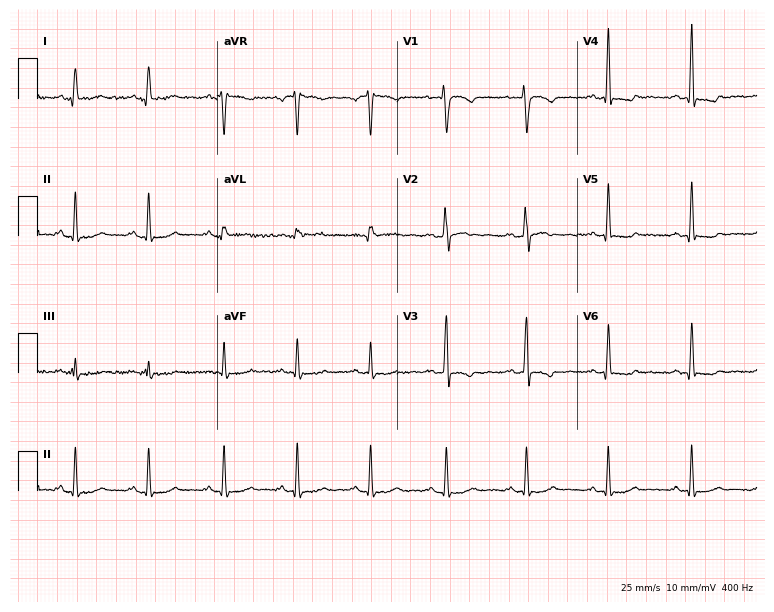
Electrocardiogram (7.3-second recording at 400 Hz), a 24-year-old woman. Of the six screened findings (first-degree AV block, right bundle branch block, left bundle branch block, sinus bradycardia, atrial fibrillation, sinus tachycardia), none is recorded. Only these six findings were labelled.